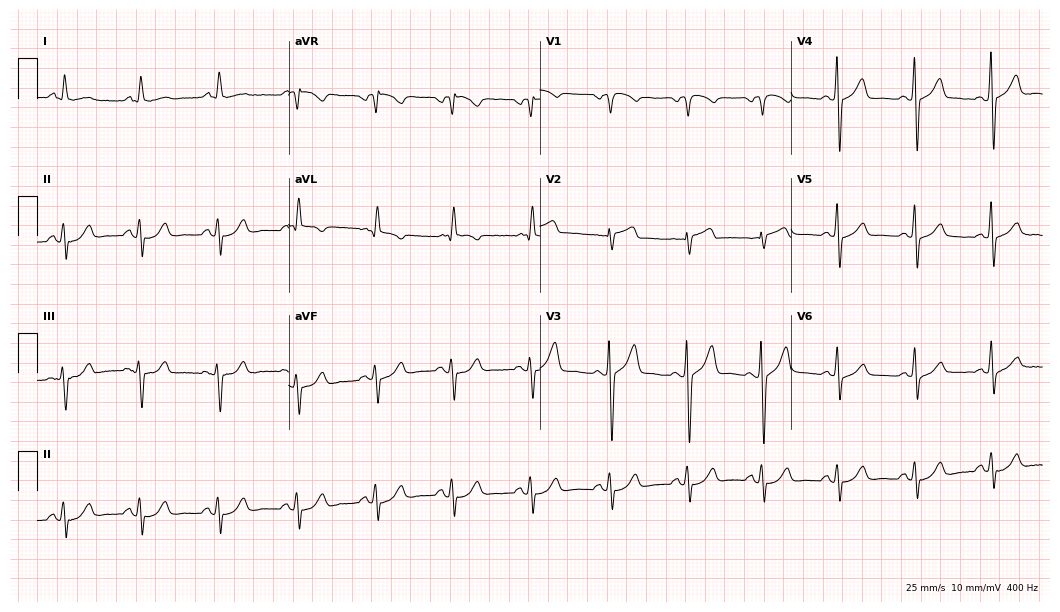
Standard 12-lead ECG recorded from a 48-year-old man (10.2-second recording at 400 Hz). Read as a normal ECG.